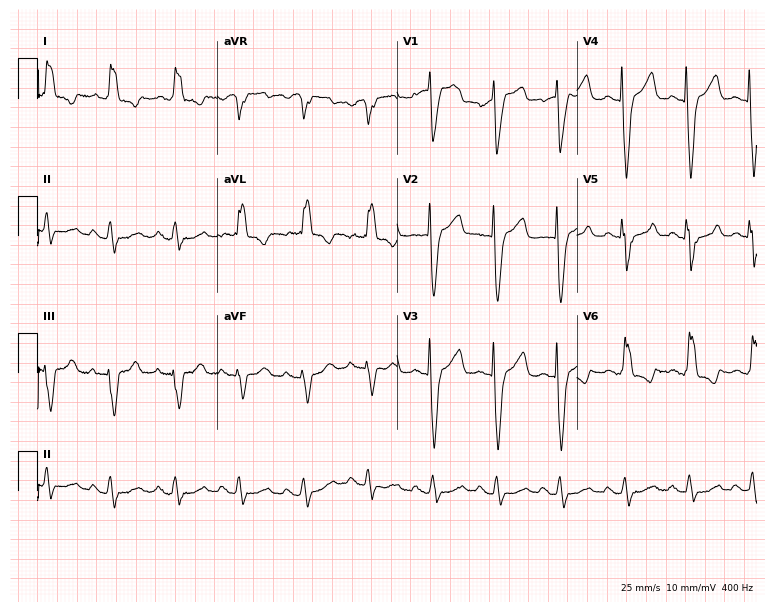
Electrocardiogram (7.3-second recording at 400 Hz), a female patient, 79 years old. Interpretation includes left bundle branch block (LBBB).